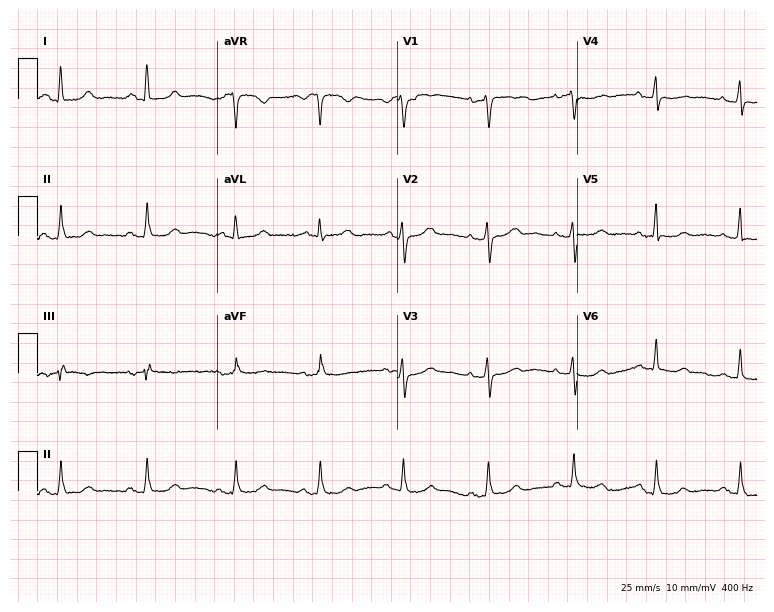
12-lead ECG from a 43-year-old female patient (7.3-second recording at 400 Hz). Recorded interpretation: within normal limits.